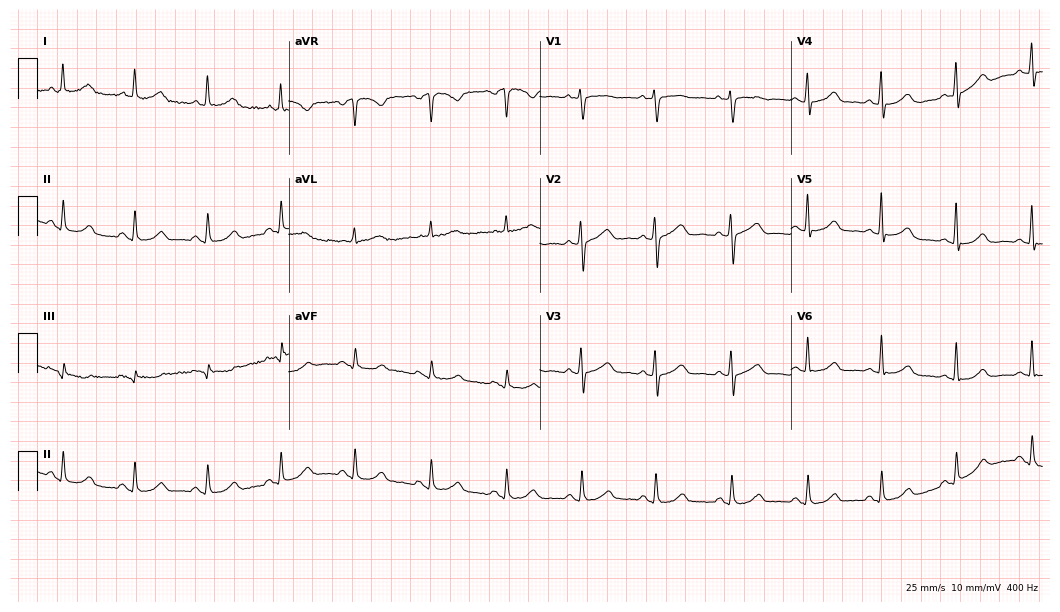
Resting 12-lead electrocardiogram (10.2-second recording at 400 Hz). Patient: a 54-year-old female. Read as a normal ECG.